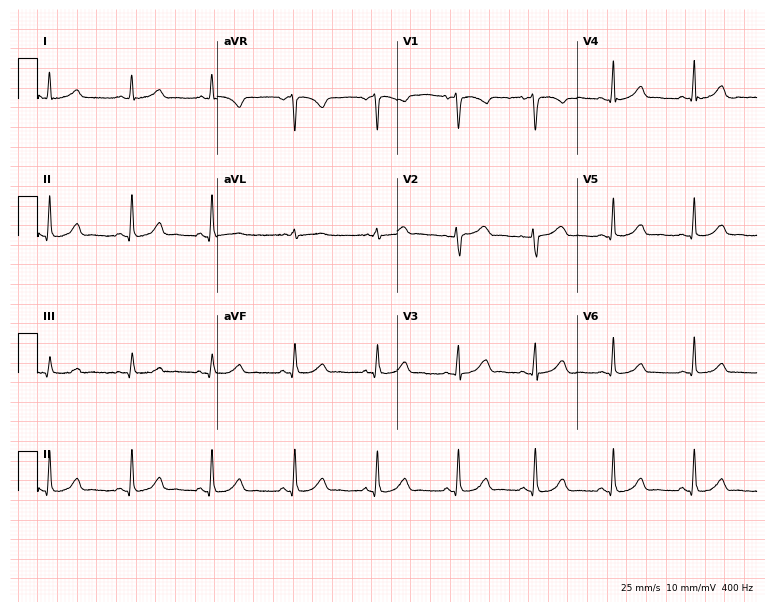
Electrocardiogram, a female, 38 years old. Overall reading on record: normal ECG.